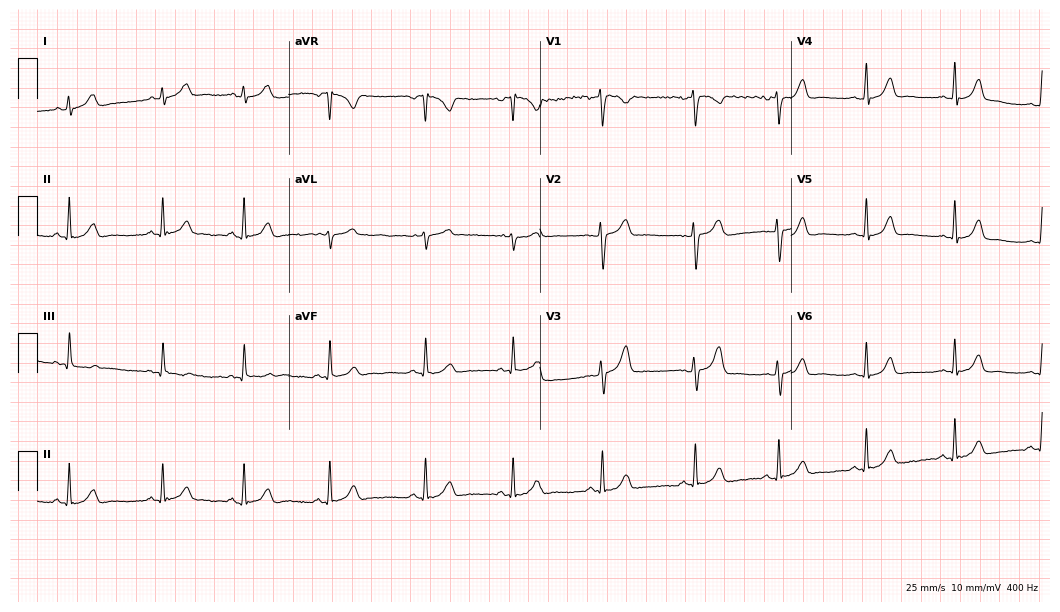
12-lead ECG (10.2-second recording at 400 Hz) from a 19-year-old female. Labelled as a normal ECG.